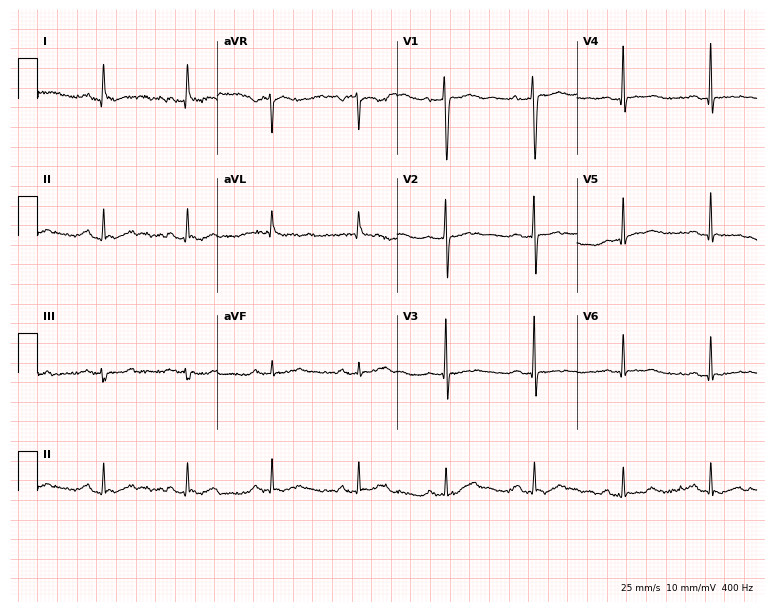
ECG (7.3-second recording at 400 Hz) — an 84-year-old woman. Screened for six findings — first-degree AV block, right bundle branch block, left bundle branch block, sinus bradycardia, atrial fibrillation, sinus tachycardia — none is recorded.